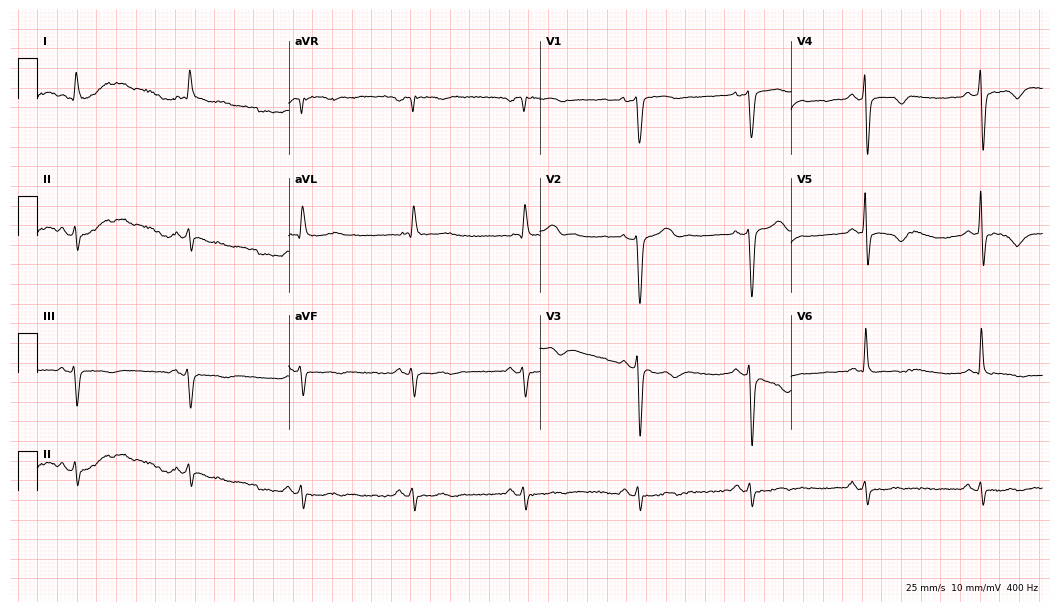
12-lead ECG from a 74-year-old male patient. No first-degree AV block, right bundle branch block (RBBB), left bundle branch block (LBBB), sinus bradycardia, atrial fibrillation (AF) or sinus tachycardia recorded for this tracing. Findings outside these six are not listed.